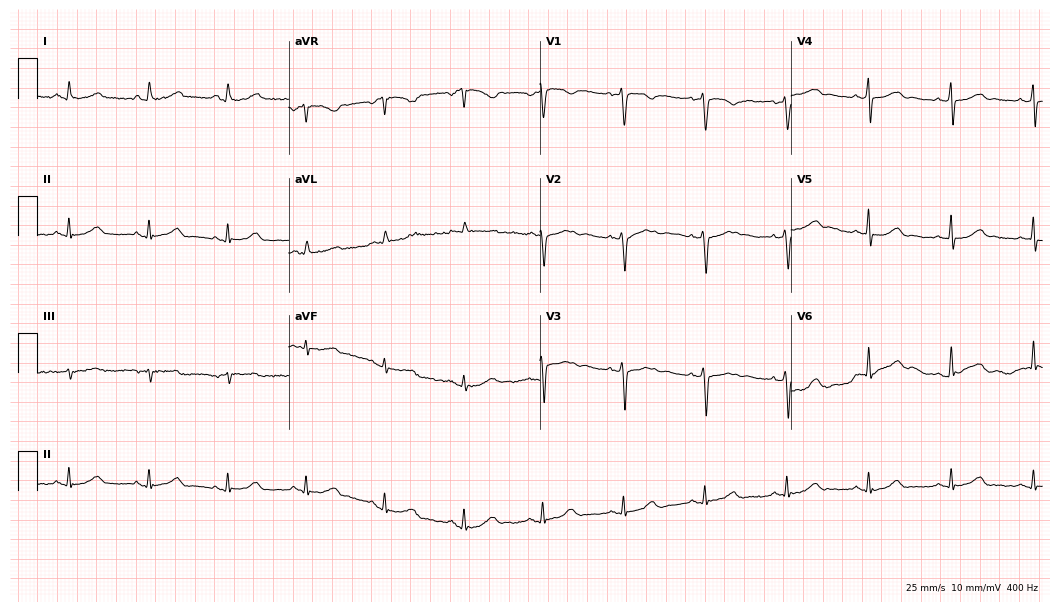
ECG (10.2-second recording at 400 Hz) — a 47-year-old female patient. Screened for six findings — first-degree AV block, right bundle branch block, left bundle branch block, sinus bradycardia, atrial fibrillation, sinus tachycardia — none is recorded.